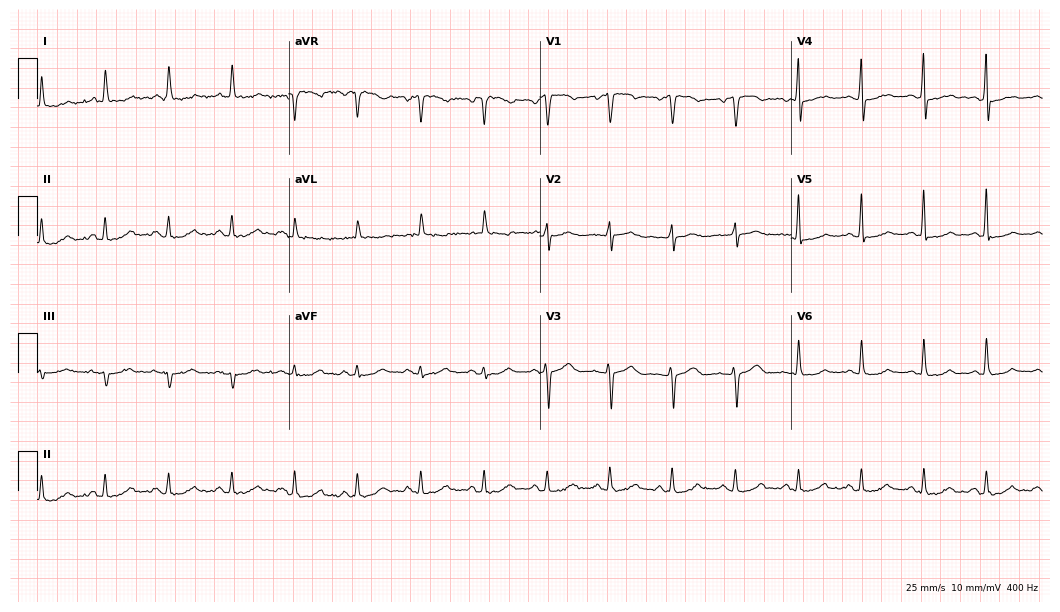
Resting 12-lead electrocardiogram. Patient: a 60-year-old female. Read as a normal ECG.